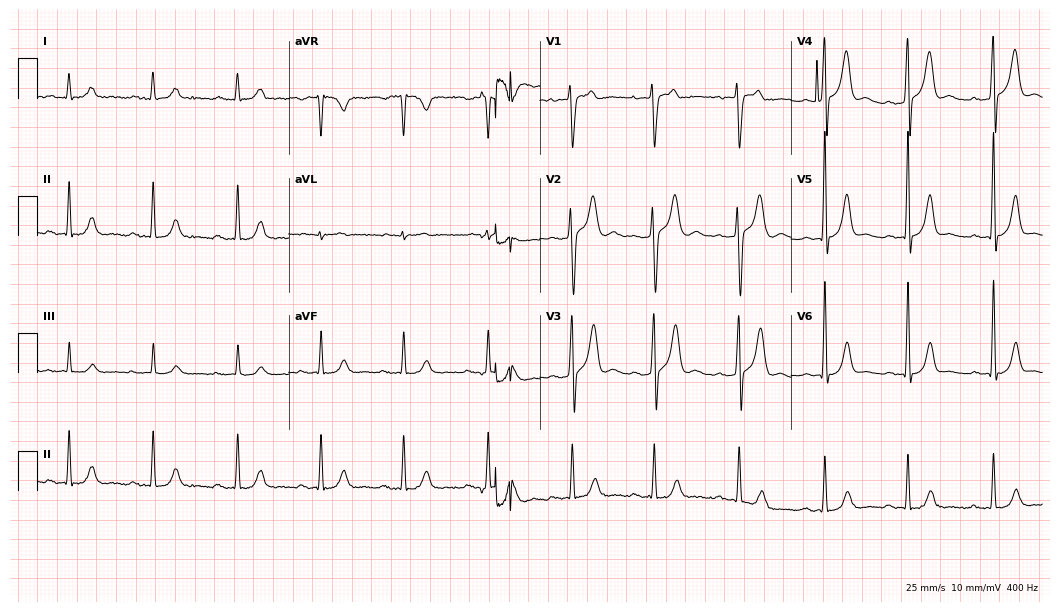
12-lead ECG from a male patient, 42 years old (10.2-second recording at 400 Hz). Recorded interpretation: within normal limits.